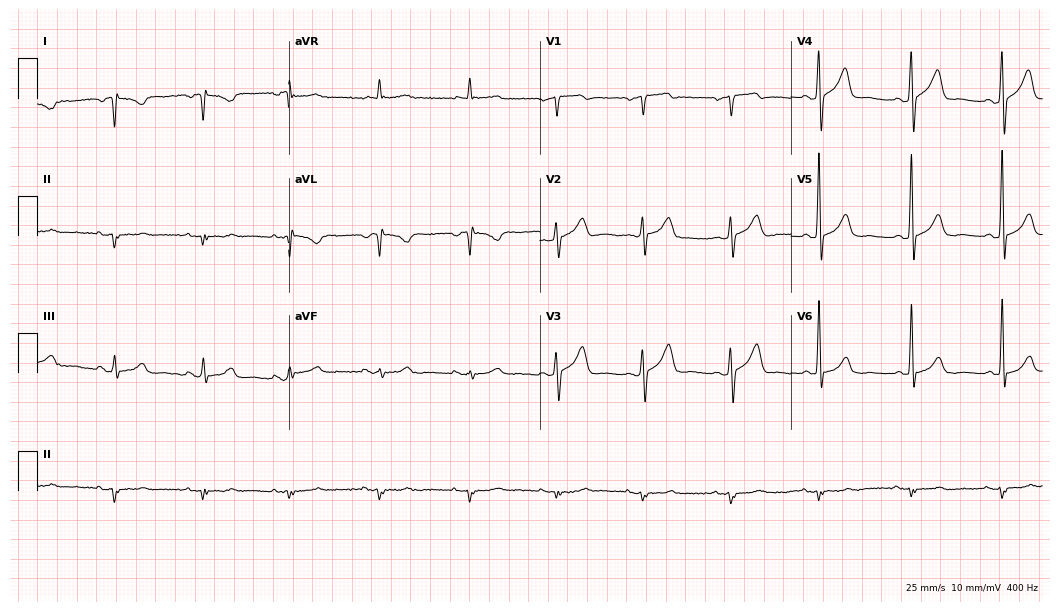
Resting 12-lead electrocardiogram. Patient: a male, 62 years old. None of these six findings is recorded: first-degree AV block, right bundle branch block, left bundle branch block, sinus bradycardia, atrial fibrillation, sinus tachycardia.